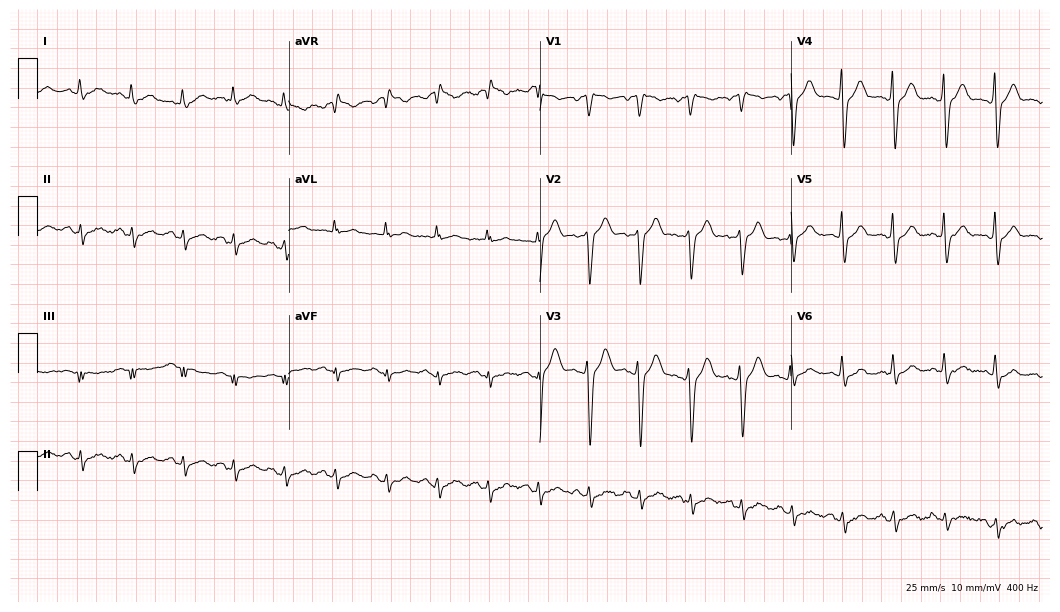
Electrocardiogram, a 52-year-old male patient. Interpretation includes sinus tachycardia (a sinus rate of 100 beats per minute or more).